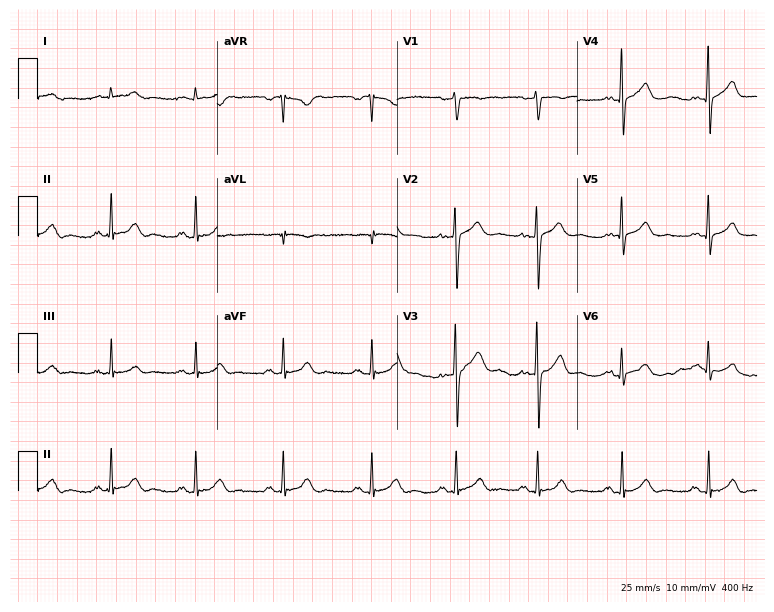
12-lead ECG (7.3-second recording at 400 Hz) from a 35-year-old male. Screened for six findings — first-degree AV block, right bundle branch block, left bundle branch block, sinus bradycardia, atrial fibrillation, sinus tachycardia — none is recorded. Findings outside these six are not listed.